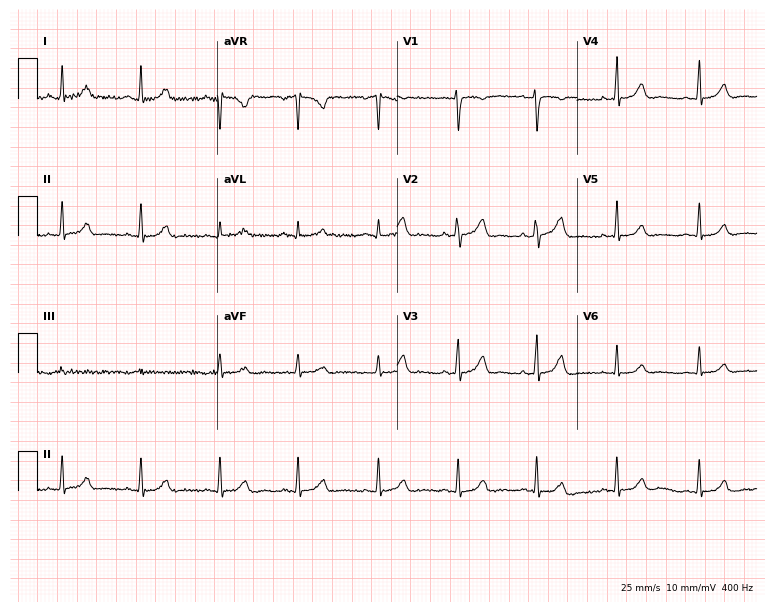
ECG — a female patient, 49 years old. Labelled as a normal ECG.